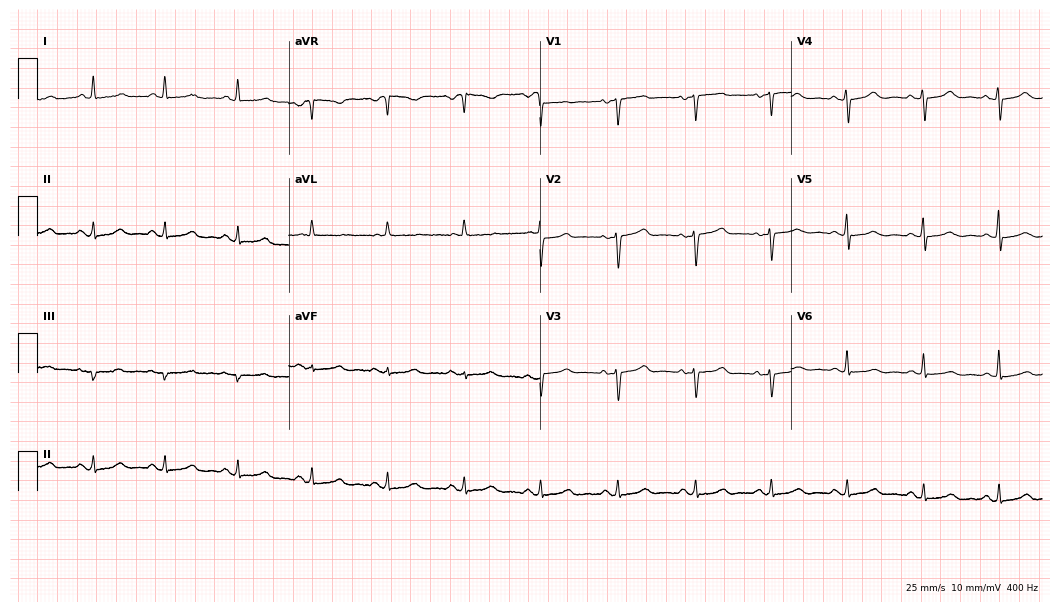
Resting 12-lead electrocardiogram. Patient: a 63-year-old female. Read as a normal ECG.